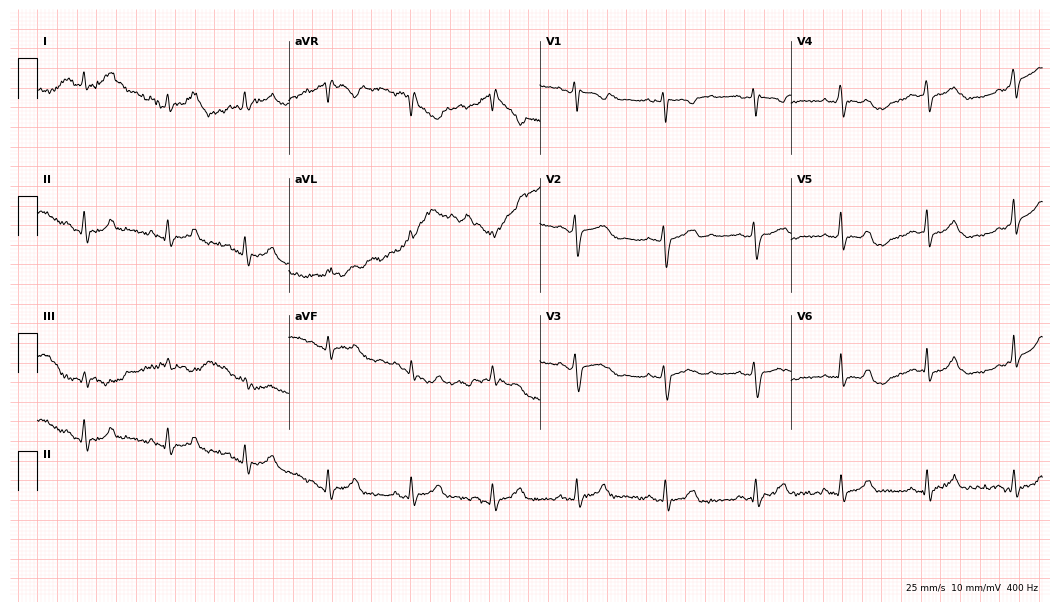
ECG — a 25-year-old female patient. Screened for six findings — first-degree AV block, right bundle branch block, left bundle branch block, sinus bradycardia, atrial fibrillation, sinus tachycardia — none is recorded.